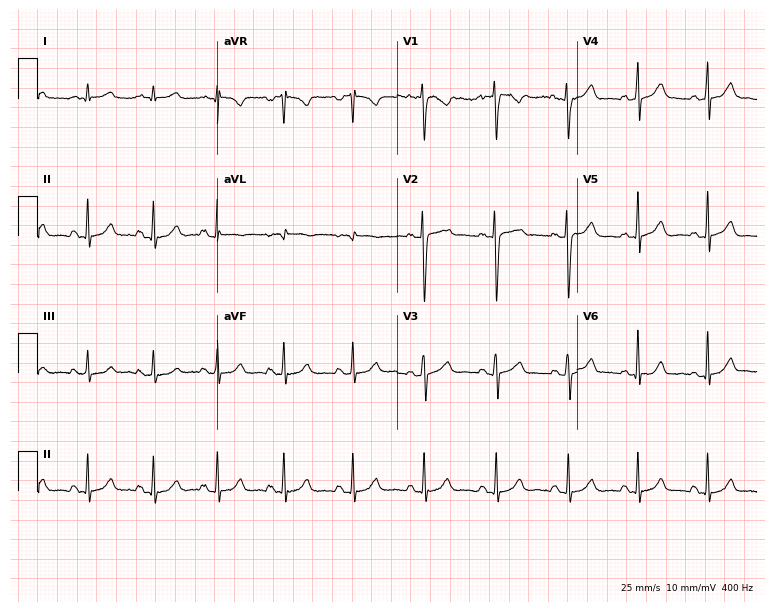
12-lead ECG from a 29-year-old female patient. No first-degree AV block, right bundle branch block (RBBB), left bundle branch block (LBBB), sinus bradycardia, atrial fibrillation (AF) or sinus tachycardia recorded for this tracing.